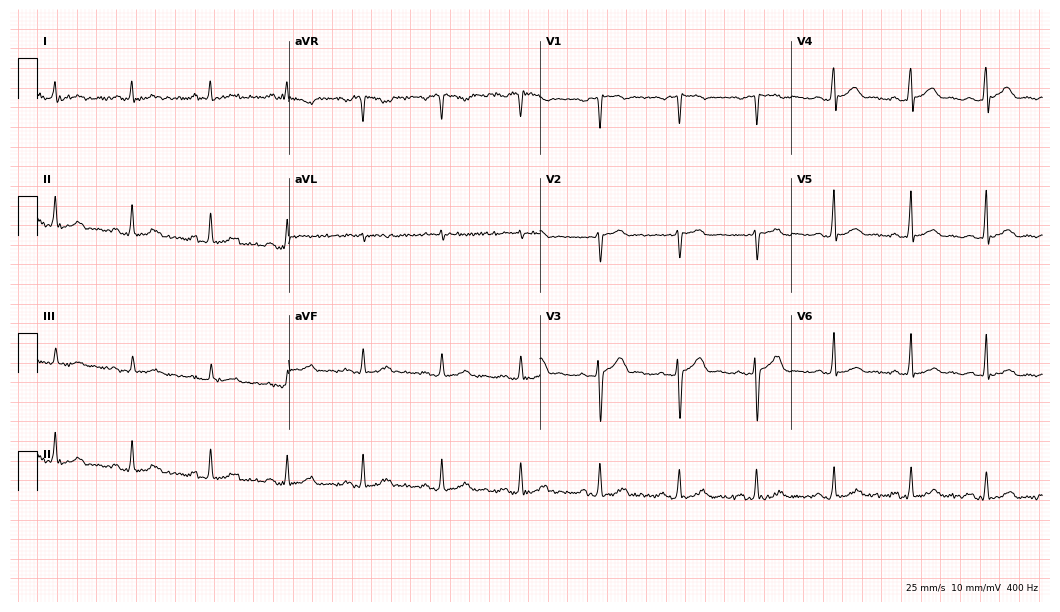
Resting 12-lead electrocardiogram. Patient: a 34-year-old male. None of these six findings is recorded: first-degree AV block, right bundle branch block (RBBB), left bundle branch block (LBBB), sinus bradycardia, atrial fibrillation (AF), sinus tachycardia. Findings outside these six are not listed.